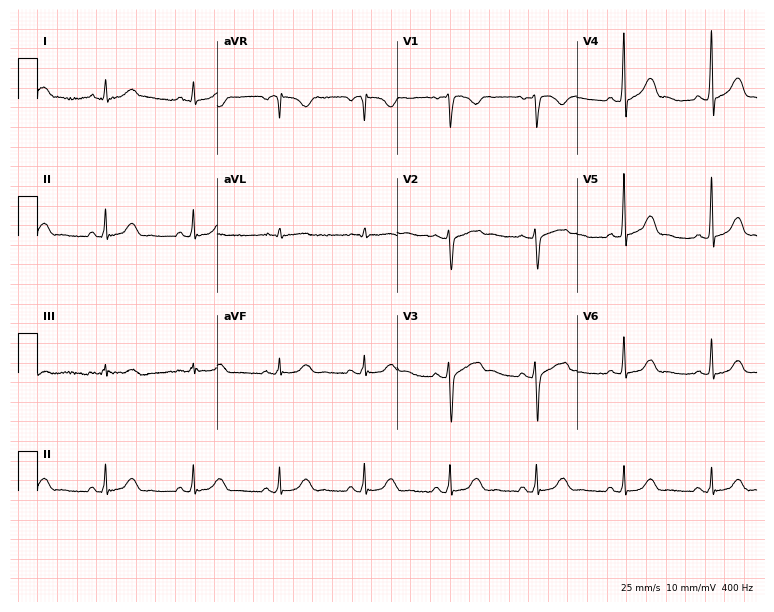
Standard 12-lead ECG recorded from a 56-year-old male (7.3-second recording at 400 Hz). Read as a normal ECG.